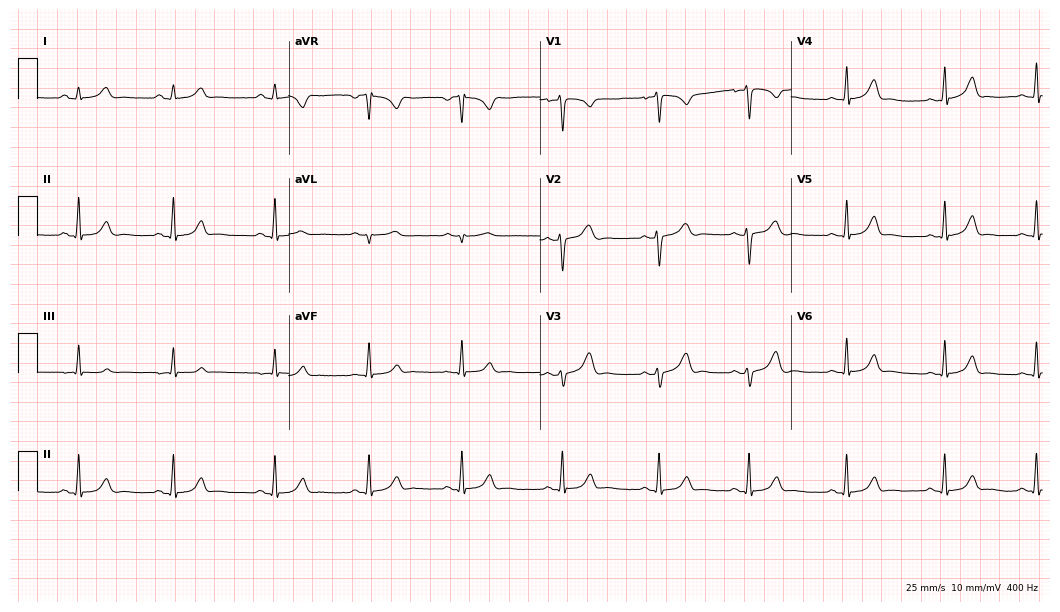
12-lead ECG from a female patient, 18 years old. Screened for six findings — first-degree AV block, right bundle branch block, left bundle branch block, sinus bradycardia, atrial fibrillation, sinus tachycardia — none is recorded. Other findings, if any, are not listed.